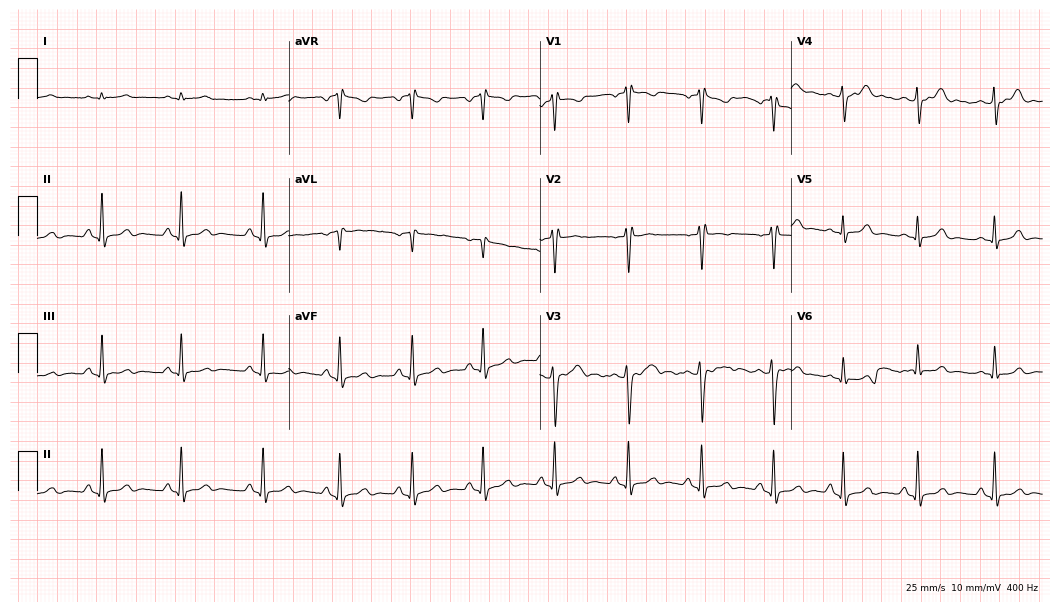
Electrocardiogram, a woman, 20 years old. Of the six screened findings (first-degree AV block, right bundle branch block, left bundle branch block, sinus bradycardia, atrial fibrillation, sinus tachycardia), none is recorded. Other findings, if any, are not listed.